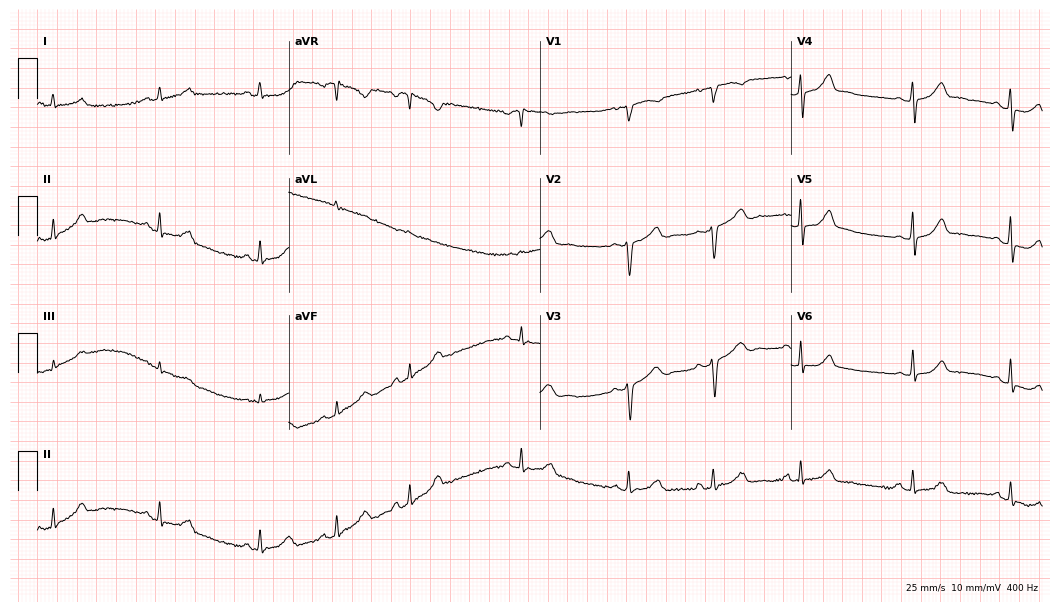
12-lead ECG from a 20-year-old female. Screened for six findings — first-degree AV block, right bundle branch block, left bundle branch block, sinus bradycardia, atrial fibrillation, sinus tachycardia — none is recorded. Only these six findings were labelled.